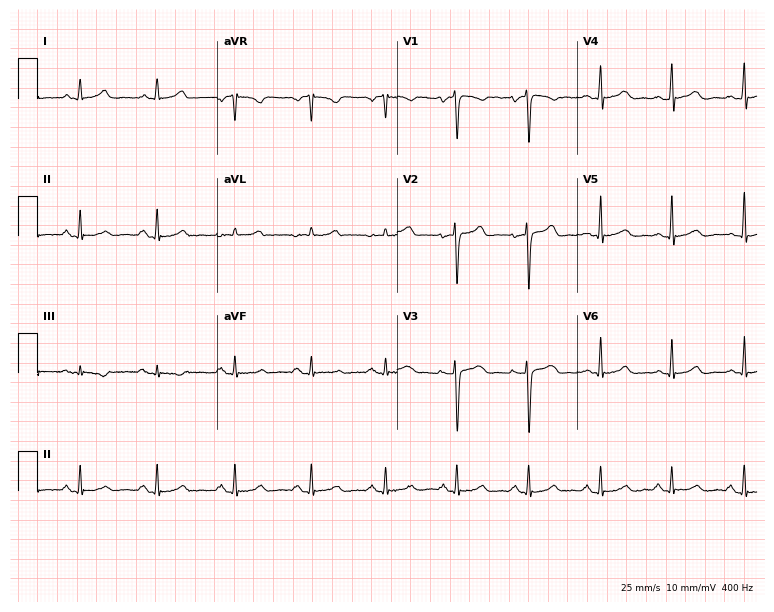
ECG (7.3-second recording at 400 Hz) — a 43-year-old woman. Screened for six findings — first-degree AV block, right bundle branch block, left bundle branch block, sinus bradycardia, atrial fibrillation, sinus tachycardia — none is recorded.